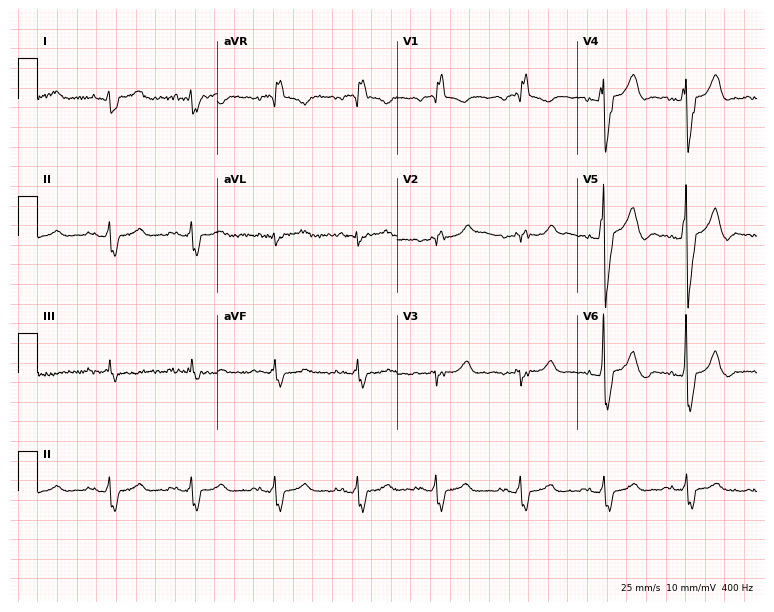
Electrocardiogram (7.3-second recording at 400 Hz), a 67-year-old male. Of the six screened findings (first-degree AV block, right bundle branch block, left bundle branch block, sinus bradycardia, atrial fibrillation, sinus tachycardia), none is recorded. Other findings, if any, are not listed.